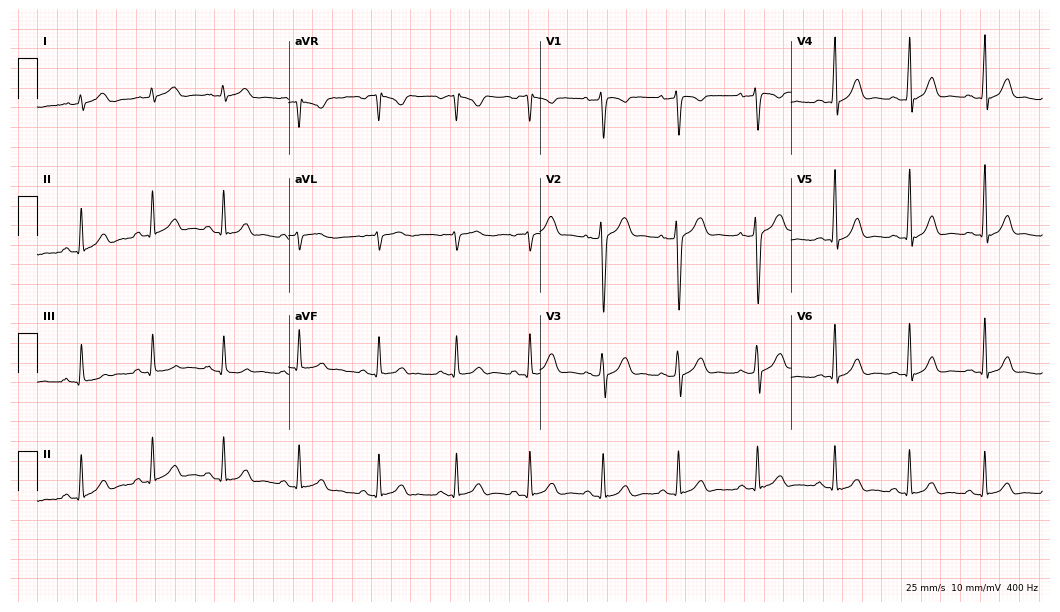
12-lead ECG from a 45-year-old male patient (10.2-second recording at 400 Hz). Recorded interpretation: within normal limits.